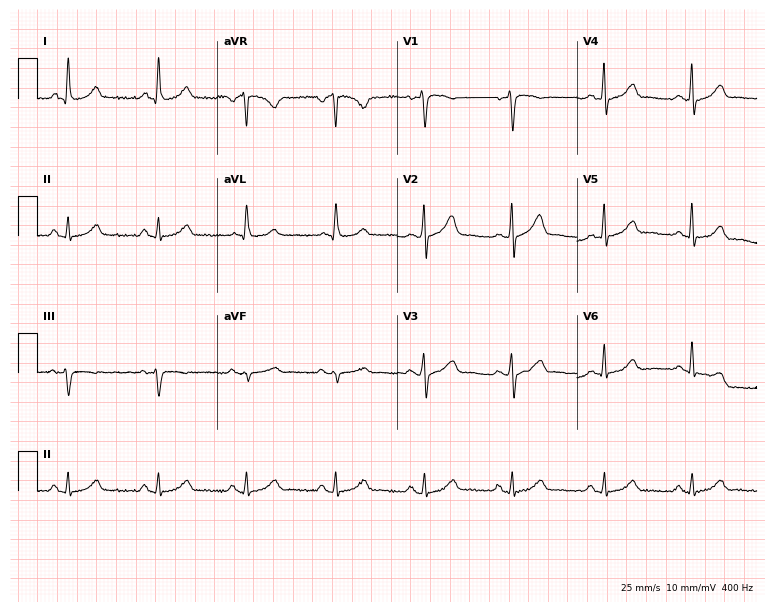
12-lead ECG (7.3-second recording at 400 Hz) from a 58-year-old female. Labelled as a normal ECG.